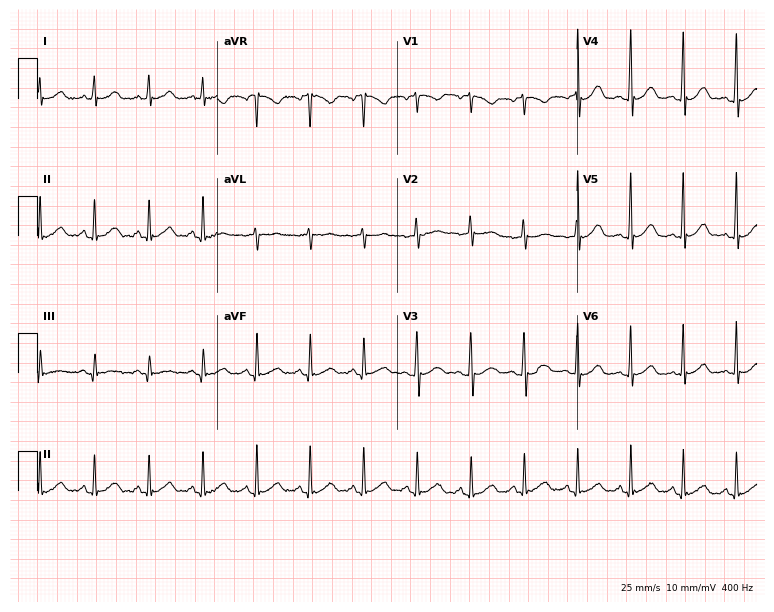
12-lead ECG from a female patient, 28 years old (7.3-second recording at 400 Hz). Shows sinus tachycardia (a sinus rate of 100 beats per minute or more).